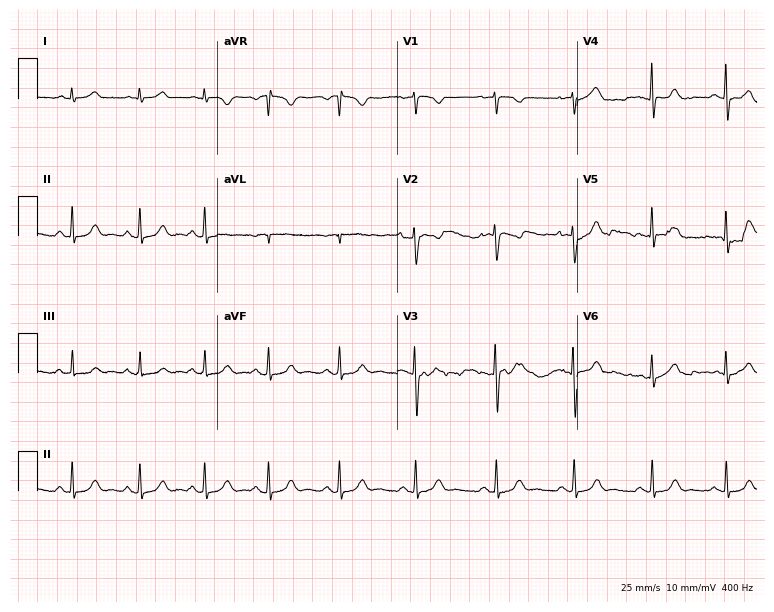
ECG — a female patient, 29 years old. Labelled as a normal ECG.